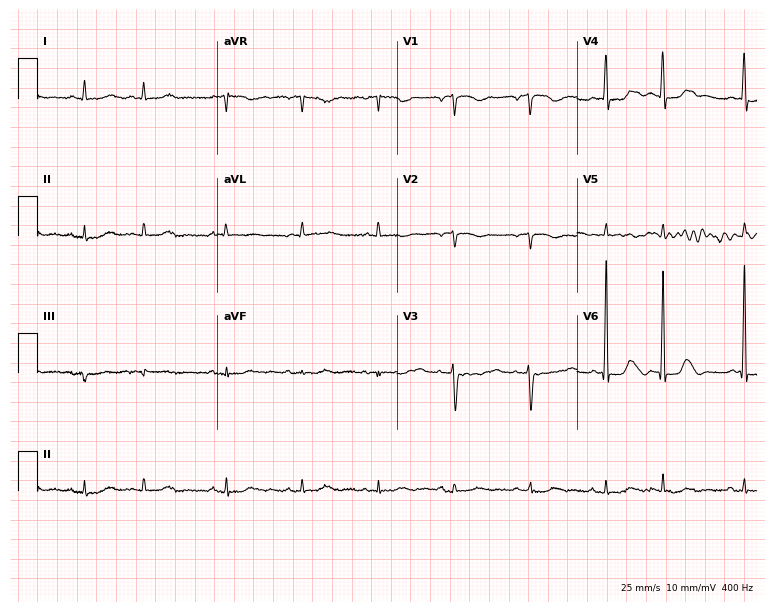
Standard 12-lead ECG recorded from a female, 66 years old. None of these six findings is recorded: first-degree AV block, right bundle branch block, left bundle branch block, sinus bradycardia, atrial fibrillation, sinus tachycardia.